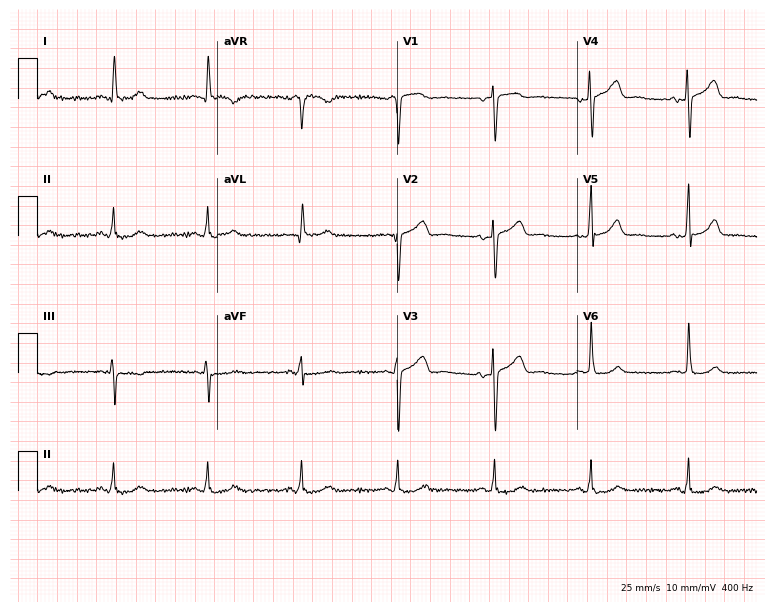
Standard 12-lead ECG recorded from a 53-year-old woman (7.3-second recording at 400 Hz). Read as a normal ECG.